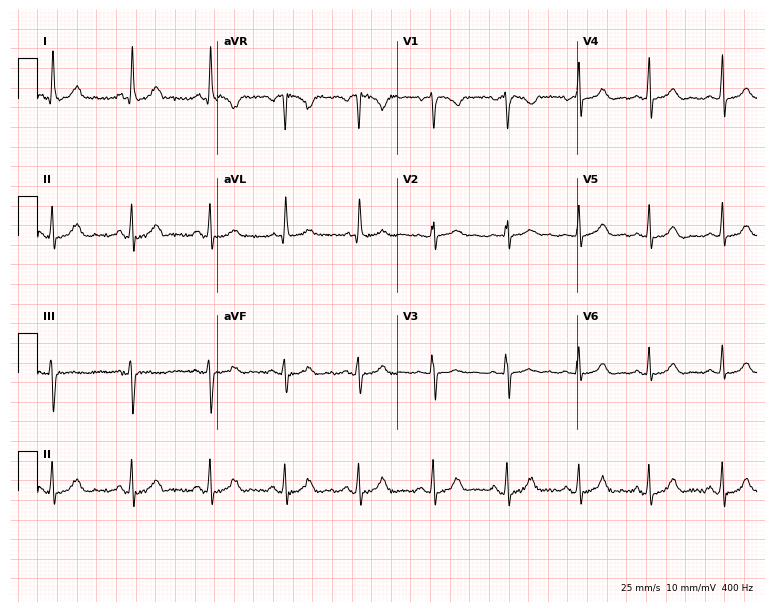
Resting 12-lead electrocardiogram (7.3-second recording at 400 Hz). Patient: a 42-year-old woman. Read as a normal ECG.